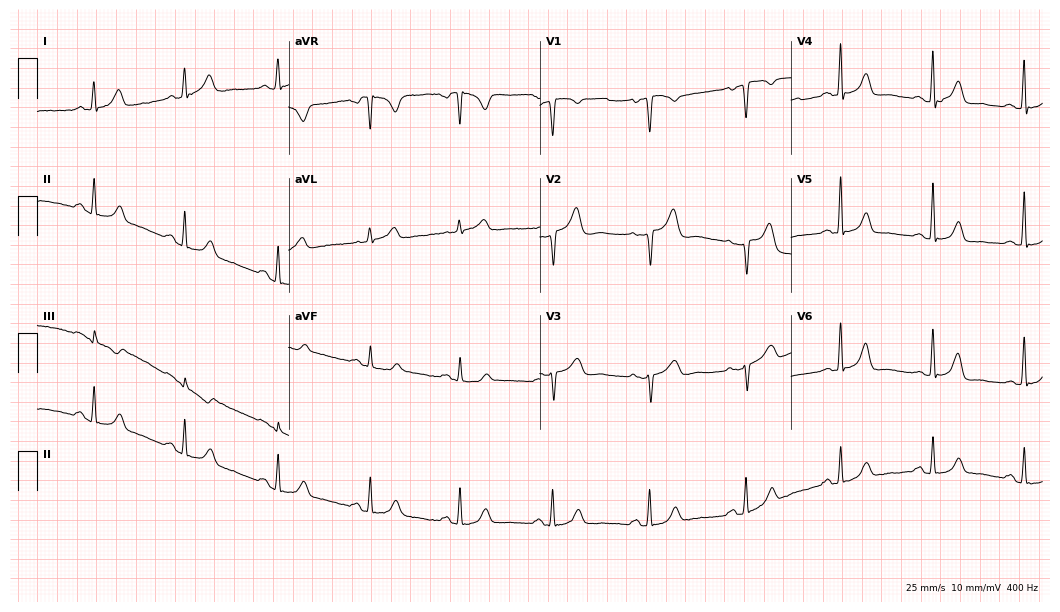
ECG (10.2-second recording at 400 Hz) — a 55-year-old woman. Screened for six findings — first-degree AV block, right bundle branch block, left bundle branch block, sinus bradycardia, atrial fibrillation, sinus tachycardia — none is recorded. Findings outside these six are not listed.